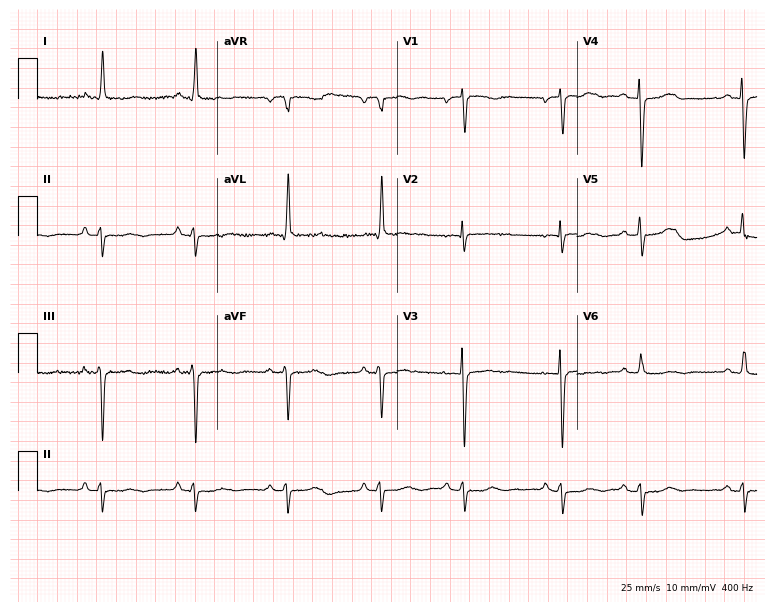
12-lead ECG from an 83-year-old female patient (7.3-second recording at 400 Hz). No first-degree AV block, right bundle branch block (RBBB), left bundle branch block (LBBB), sinus bradycardia, atrial fibrillation (AF) or sinus tachycardia recorded for this tracing.